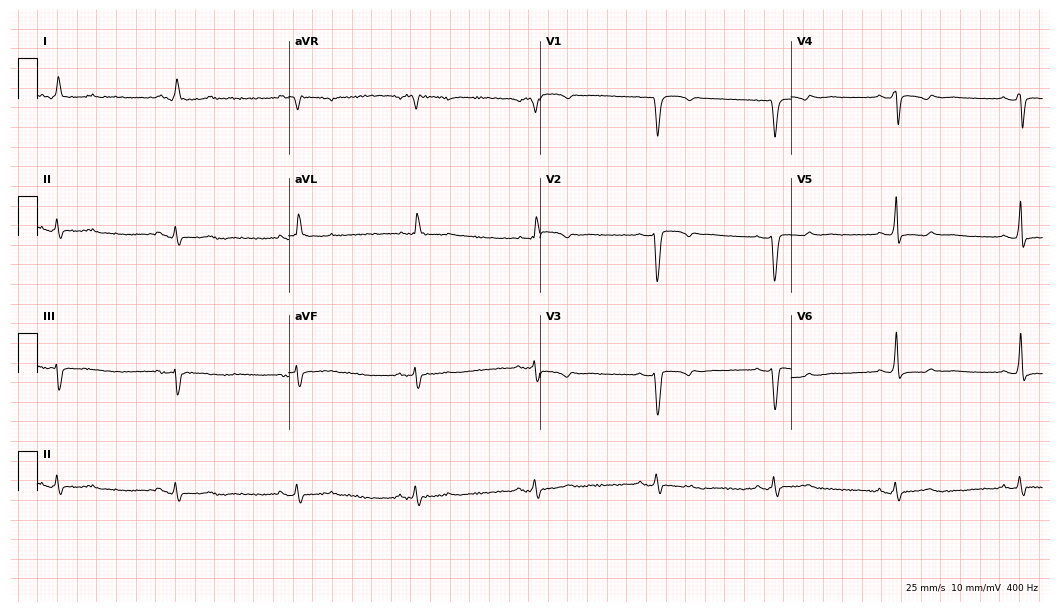
12-lead ECG from a 60-year-old female. Findings include sinus bradycardia (a sinus rate of 50 beats per minute or less).